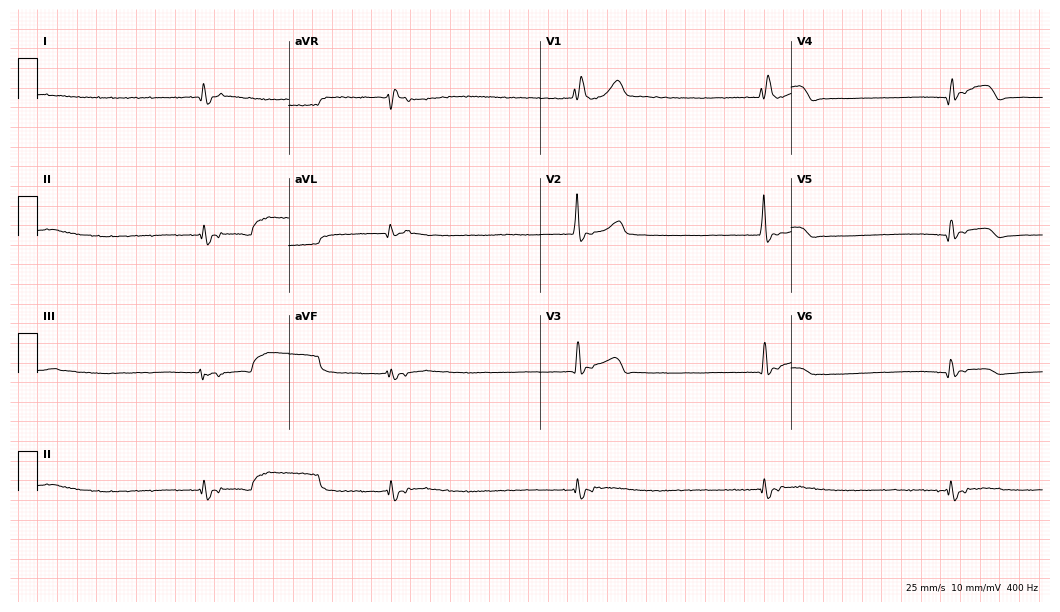
12-lead ECG from a 77-year-old female patient (10.2-second recording at 400 Hz). Shows right bundle branch block (RBBB).